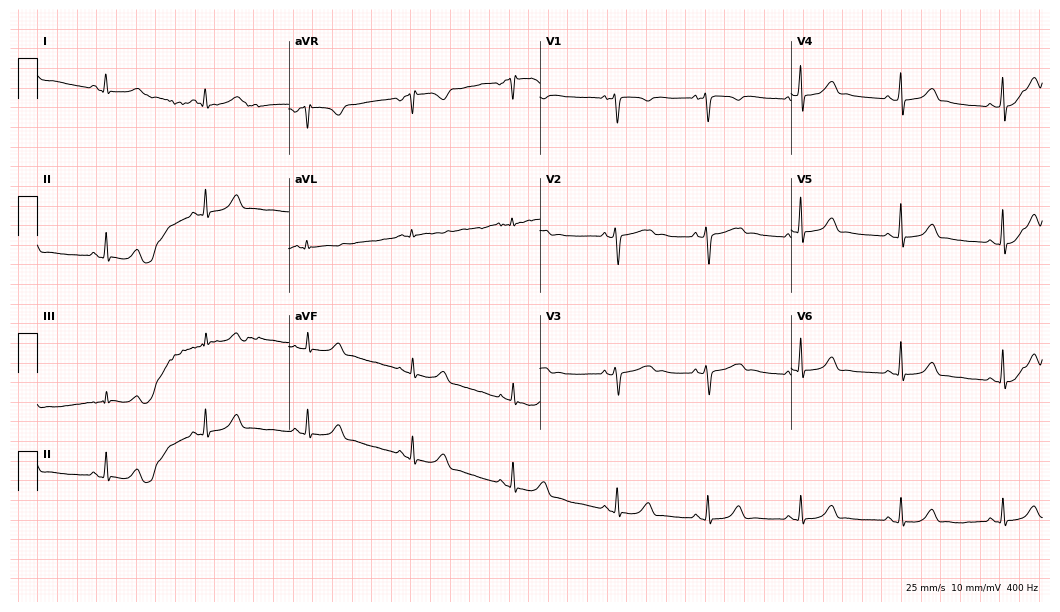
Electrocardiogram, a 21-year-old female. Overall reading on record: normal ECG.